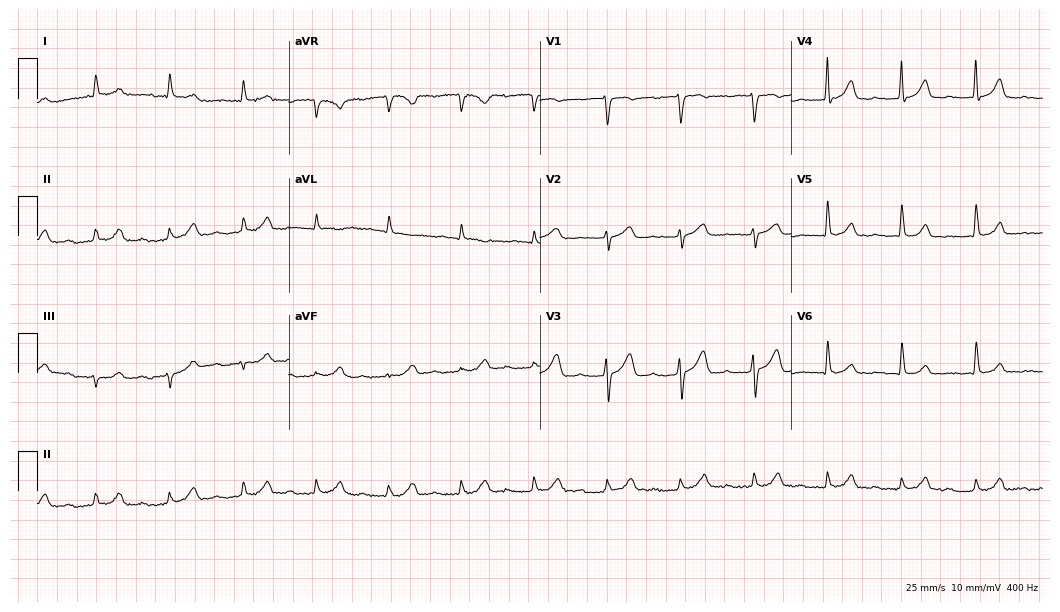
ECG (10.2-second recording at 400 Hz) — a 77-year-old male. Findings include first-degree AV block.